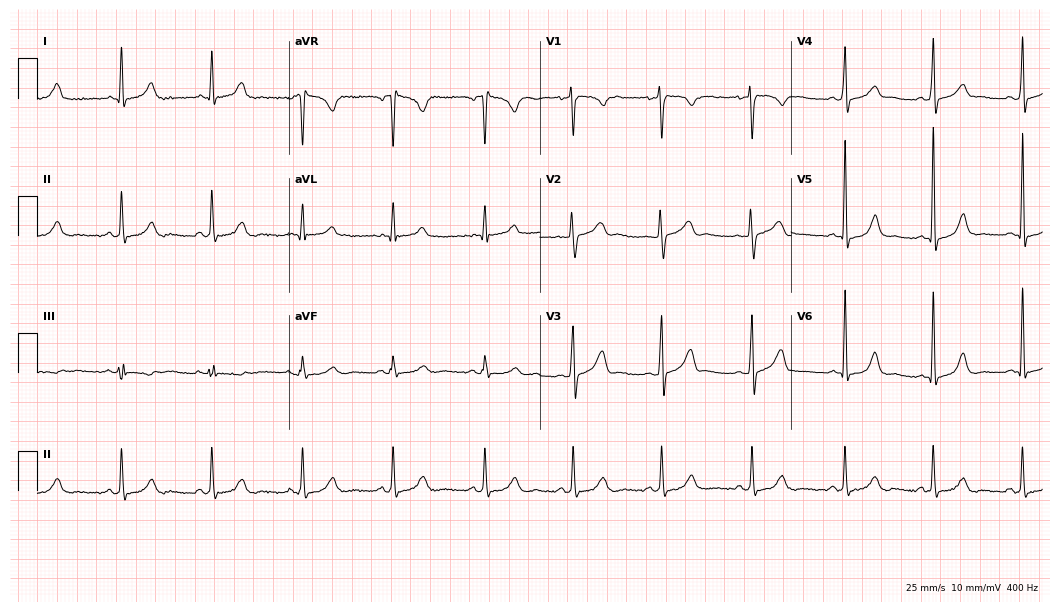
12-lead ECG (10.2-second recording at 400 Hz) from a 38-year-old woman. Screened for six findings — first-degree AV block, right bundle branch block, left bundle branch block, sinus bradycardia, atrial fibrillation, sinus tachycardia — none is recorded.